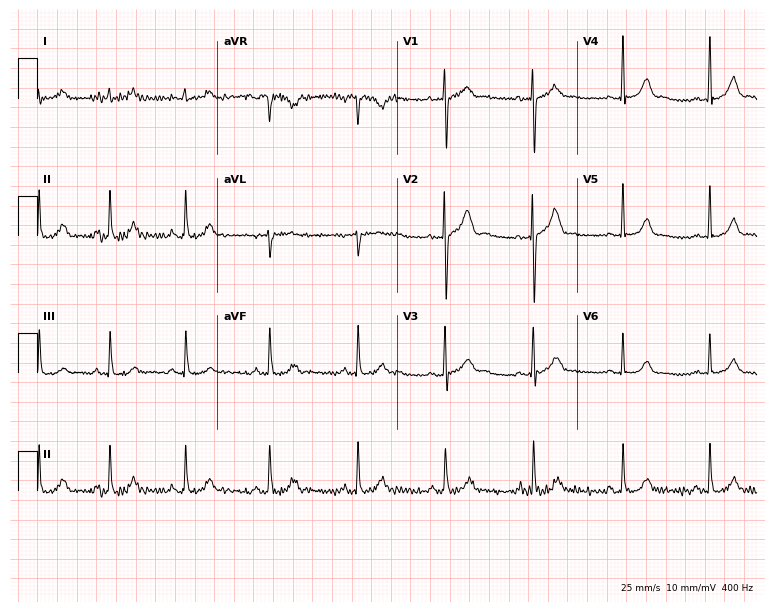
ECG (7.3-second recording at 400 Hz) — a 28-year-old female. Labelled as a normal ECG.